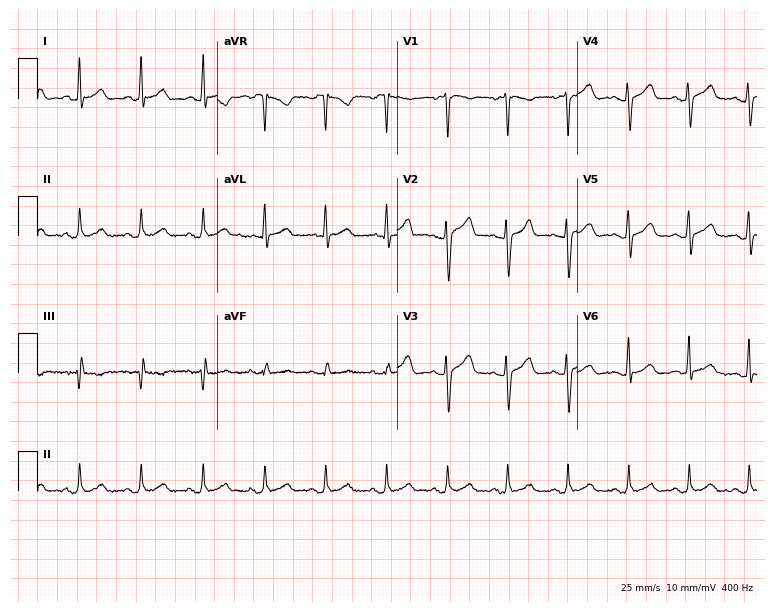
Electrocardiogram (7.3-second recording at 400 Hz), a man, 44 years old. Overall reading on record: normal ECG.